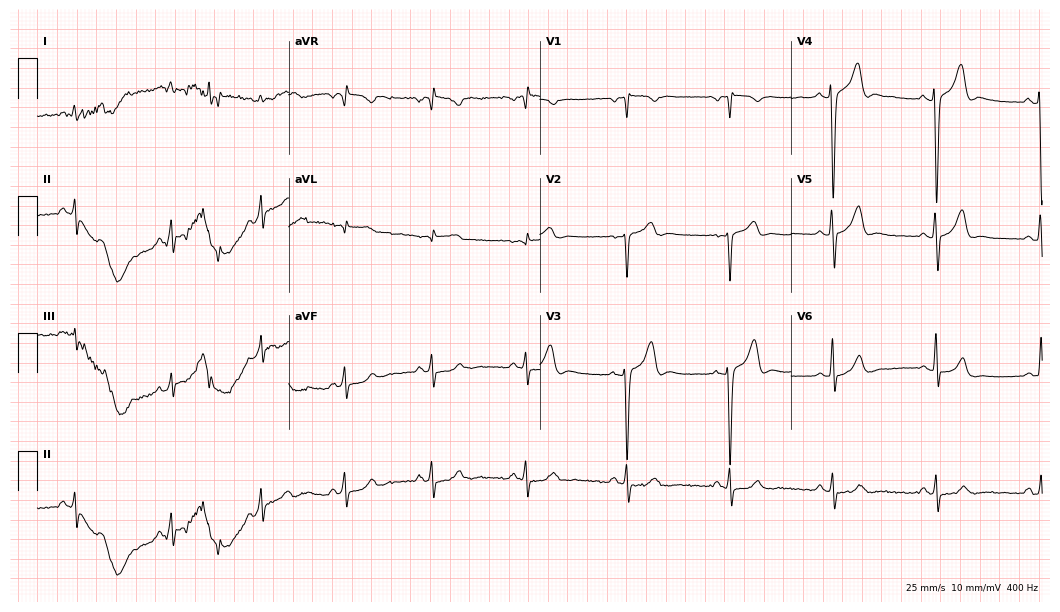
Resting 12-lead electrocardiogram. Patient: a male, 36 years old. None of these six findings is recorded: first-degree AV block, right bundle branch block (RBBB), left bundle branch block (LBBB), sinus bradycardia, atrial fibrillation (AF), sinus tachycardia.